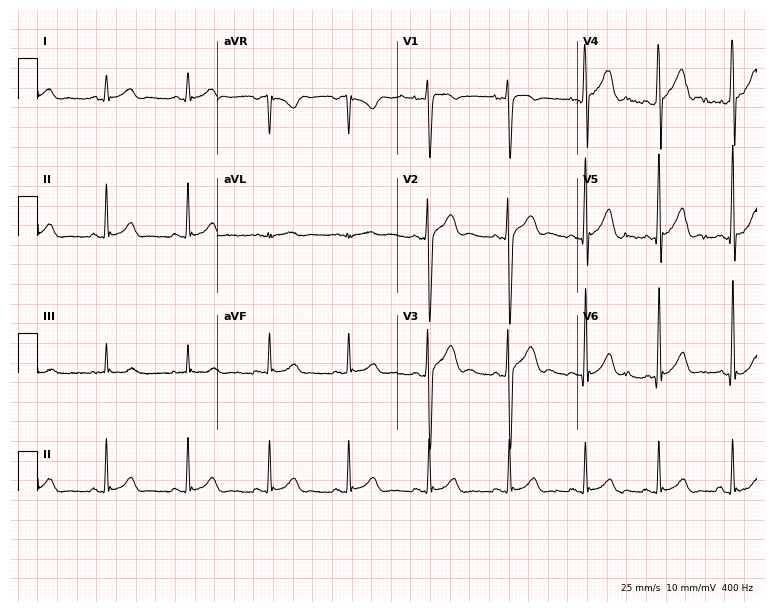
12-lead ECG (7.3-second recording at 400 Hz) from a male, 21 years old. Labelled as a normal ECG.